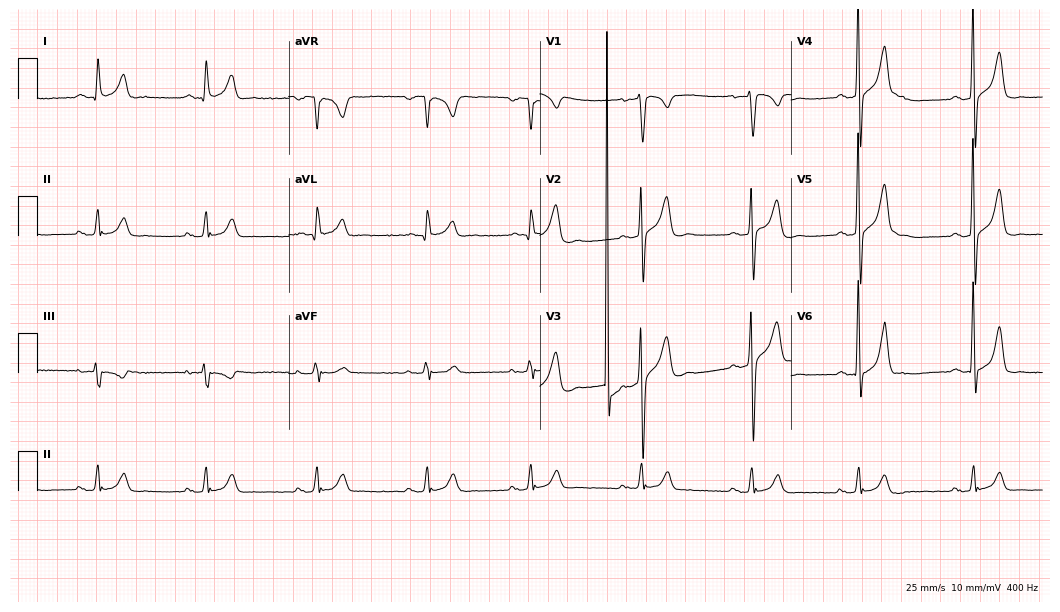
Electrocardiogram (10.2-second recording at 400 Hz), a 38-year-old male. Overall reading on record: normal ECG.